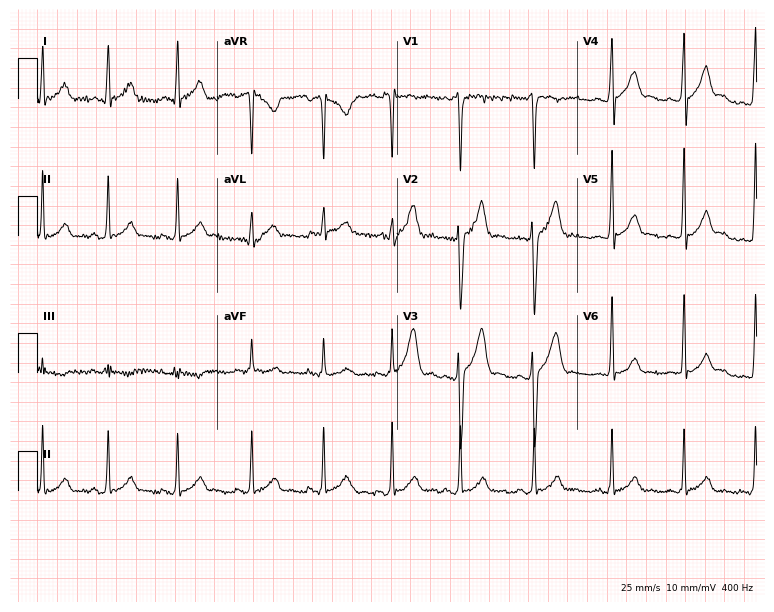
Resting 12-lead electrocardiogram. Patient: a 20-year-old male. Read as a normal ECG.